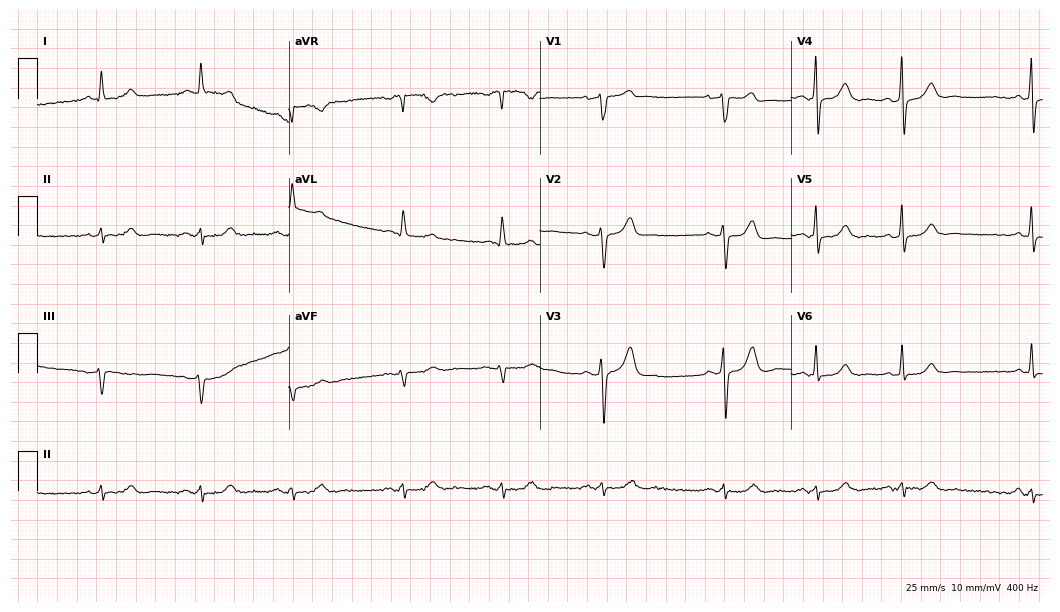
ECG — an 80-year-old male patient. Labelled as a normal ECG.